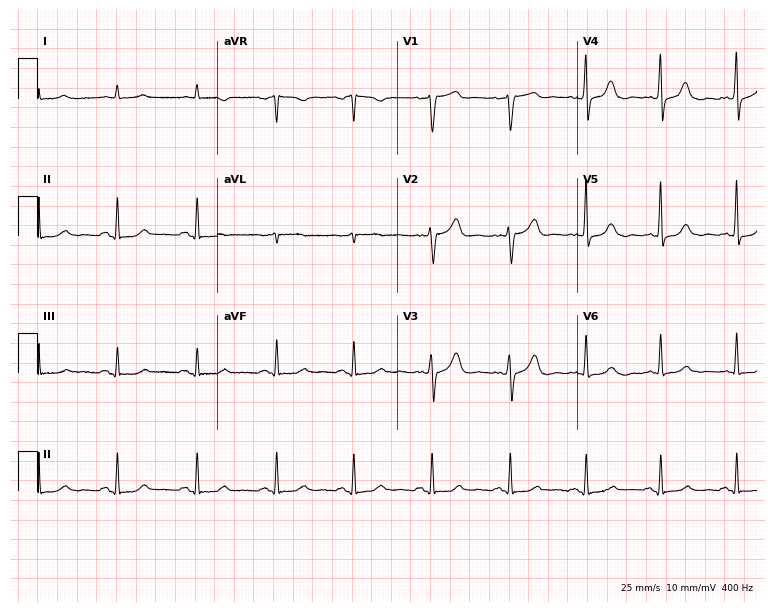
ECG (7.3-second recording at 400 Hz) — a 71-year-old male. Screened for six findings — first-degree AV block, right bundle branch block (RBBB), left bundle branch block (LBBB), sinus bradycardia, atrial fibrillation (AF), sinus tachycardia — none is recorded.